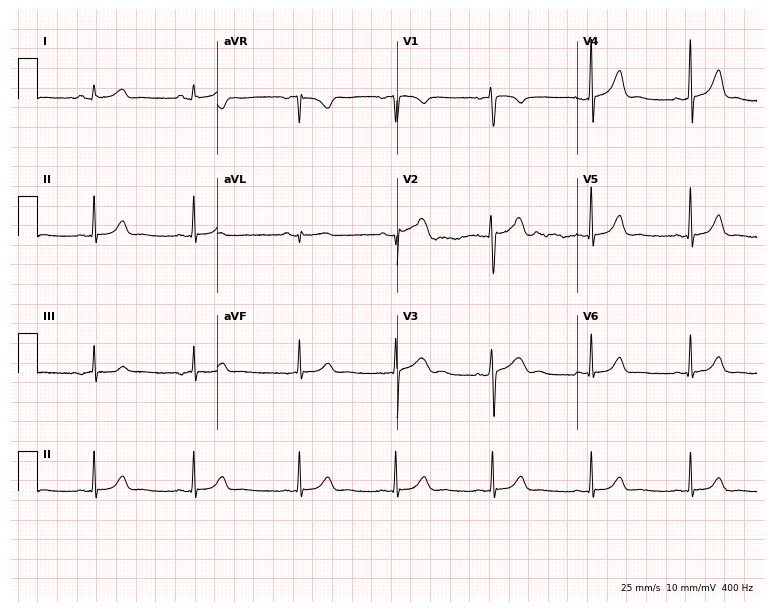
Electrocardiogram (7.3-second recording at 400 Hz), a 35-year-old female. Overall reading on record: normal ECG.